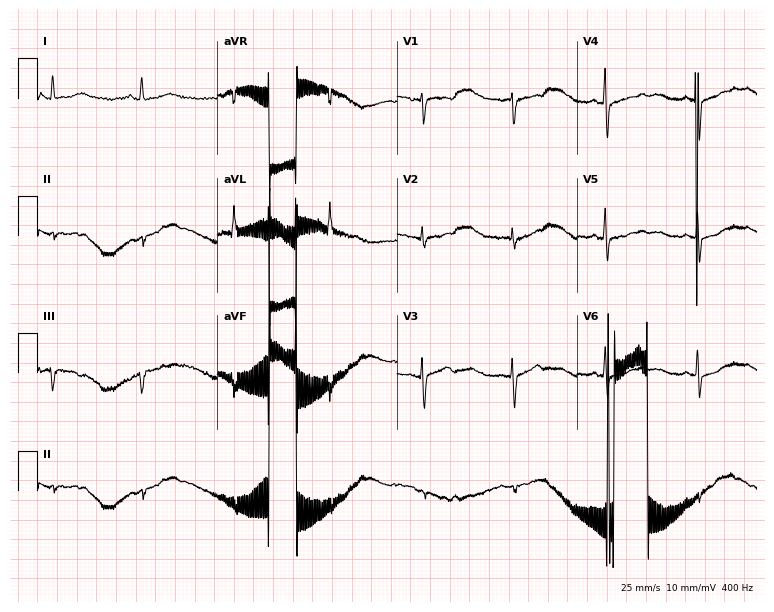
Resting 12-lead electrocardiogram. Patient: a 79-year-old female. None of these six findings is recorded: first-degree AV block, right bundle branch block, left bundle branch block, sinus bradycardia, atrial fibrillation, sinus tachycardia. Other findings, if any, are not listed.